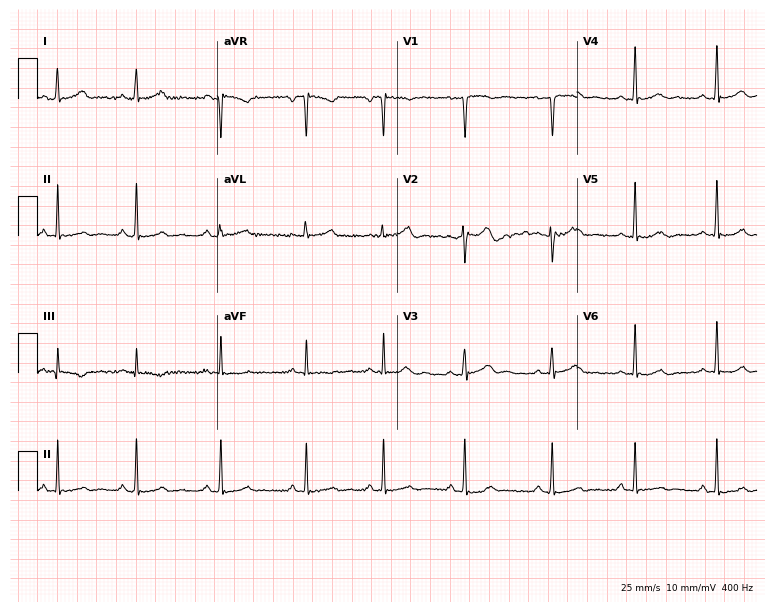
ECG — a 27-year-old female. Screened for six findings — first-degree AV block, right bundle branch block, left bundle branch block, sinus bradycardia, atrial fibrillation, sinus tachycardia — none is recorded.